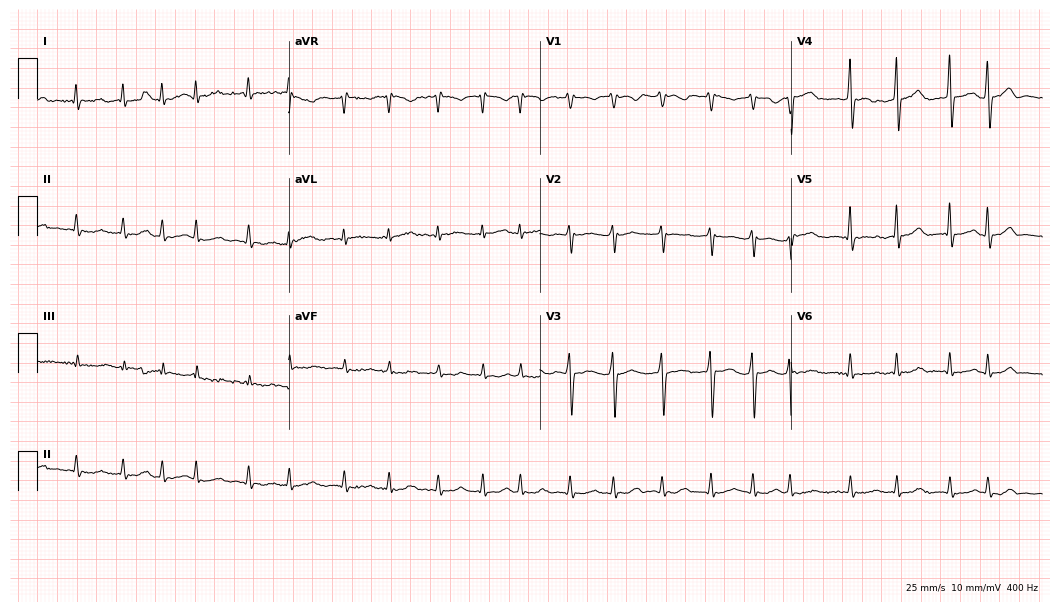
Resting 12-lead electrocardiogram. Patient: a male, 52 years old. None of these six findings is recorded: first-degree AV block, right bundle branch block (RBBB), left bundle branch block (LBBB), sinus bradycardia, atrial fibrillation (AF), sinus tachycardia. Findings outside these six are not listed.